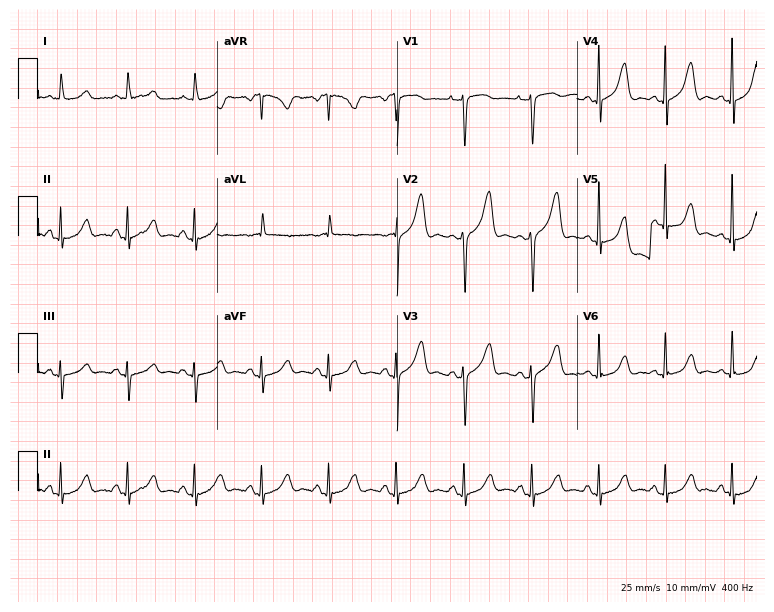
Standard 12-lead ECG recorded from a female, 72 years old. None of these six findings is recorded: first-degree AV block, right bundle branch block, left bundle branch block, sinus bradycardia, atrial fibrillation, sinus tachycardia. Other findings, if any, are not listed.